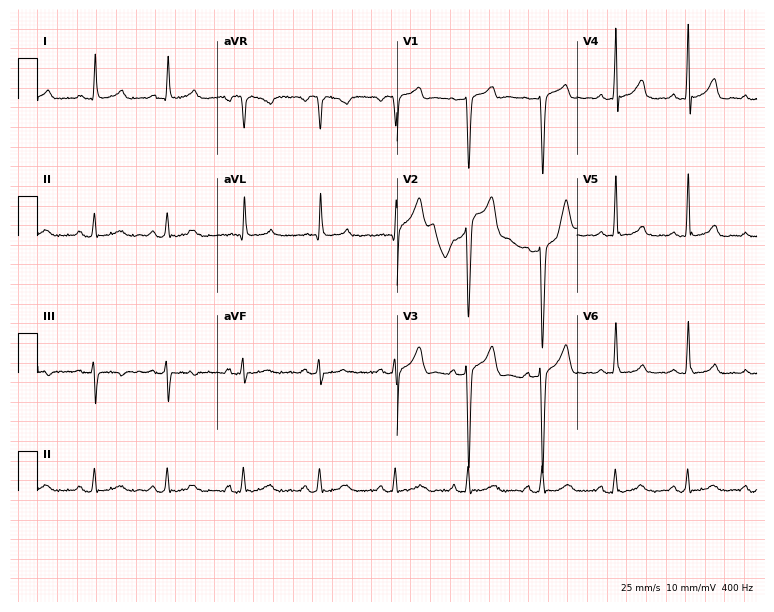
Electrocardiogram (7.3-second recording at 400 Hz), a 54-year-old male. Overall reading on record: normal ECG.